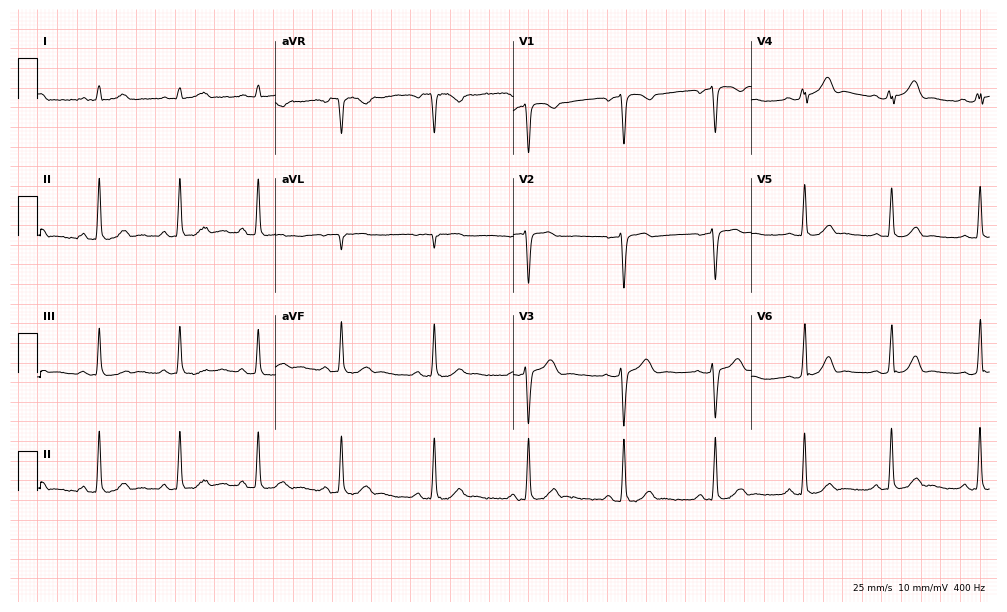
12-lead ECG from a female, 44 years old (9.7-second recording at 400 Hz). Recorded interpretation: within normal limits.